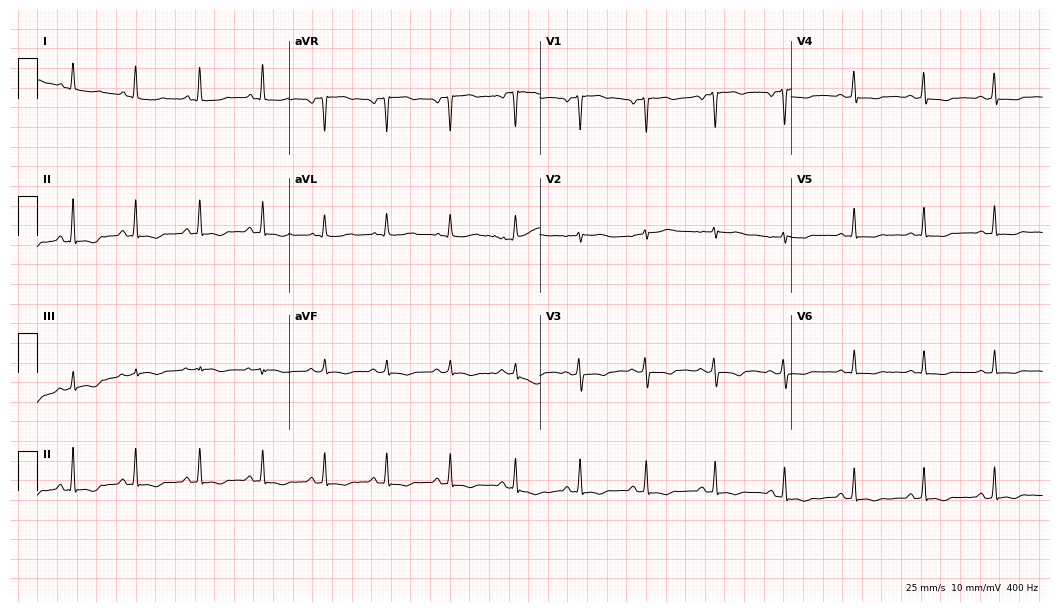
Electrocardiogram (10.2-second recording at 400 Hz), a female patient, 33 years old. Of the six screened findings (first-degree AV block, right bundle branch block (RBBB), left bundle branch block (LBBB), sinus bradycardia, atrial fibrillation (AF), sinus tachycardia), none is recorded. Only these six findings were labelled.